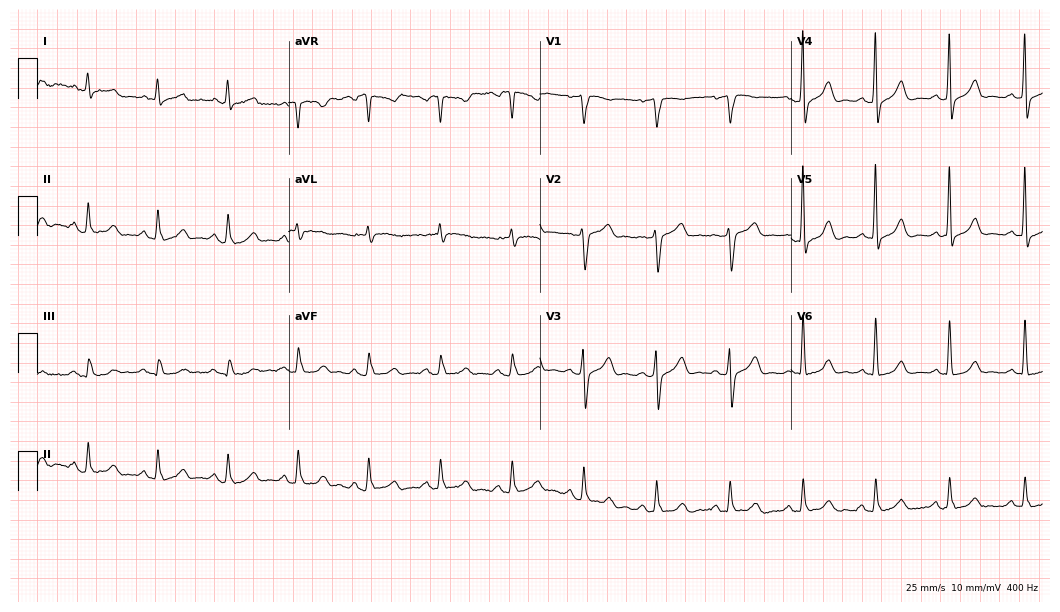
12-lead ECG from a 70-year-old male patient (10.2-second recording at 400 Hz). Recorded interpretation: within normal limits.